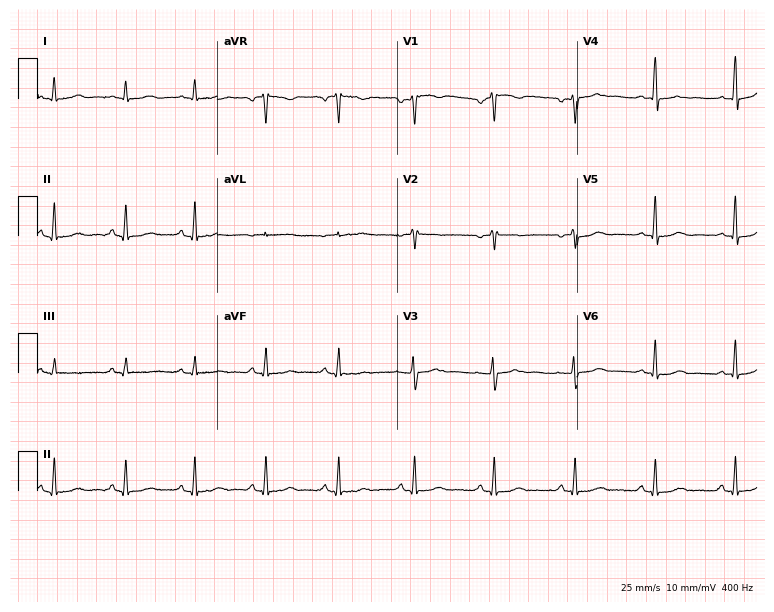
Electrocardiogram, a 41-year-old woman. Of the six screened findings (first-degree AV block, right bundle branch block (RBBB), left bundle branch block (LBBB), sinus bradycardia, atrial fibrillation (AF), sinus tachycardia), none is recorded. Findings outside these six are not listed.